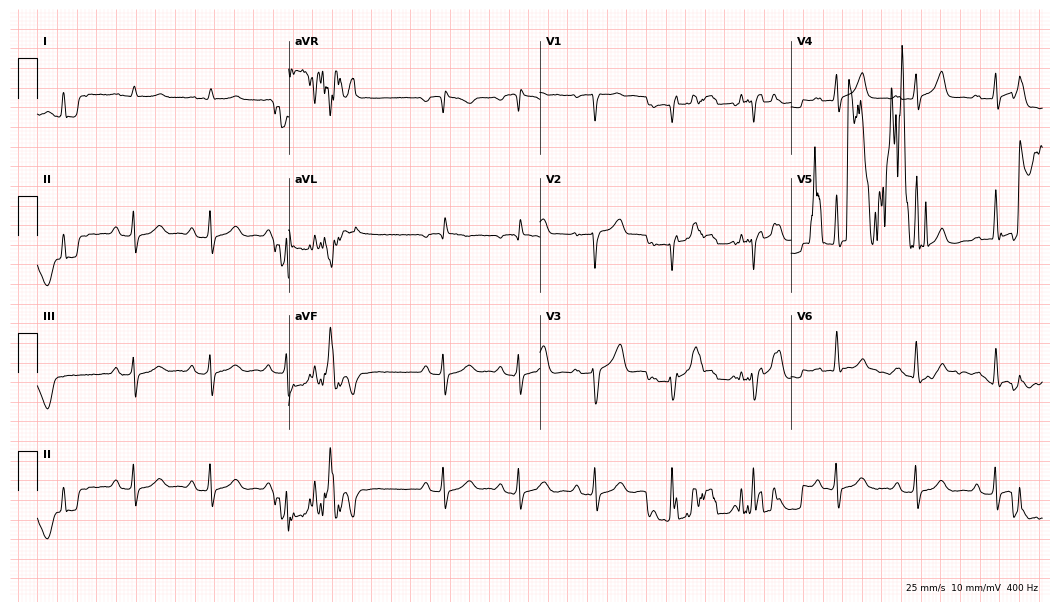
ECG (10.2-second recording at 400 Hz) — a 78-year-old male patient. Screened for six findings — first-degree AV block, right bundle branch block, left bundle branch block, sinus bradycardia, atrial fibrillation, sinus tachycardia — none is recorded.